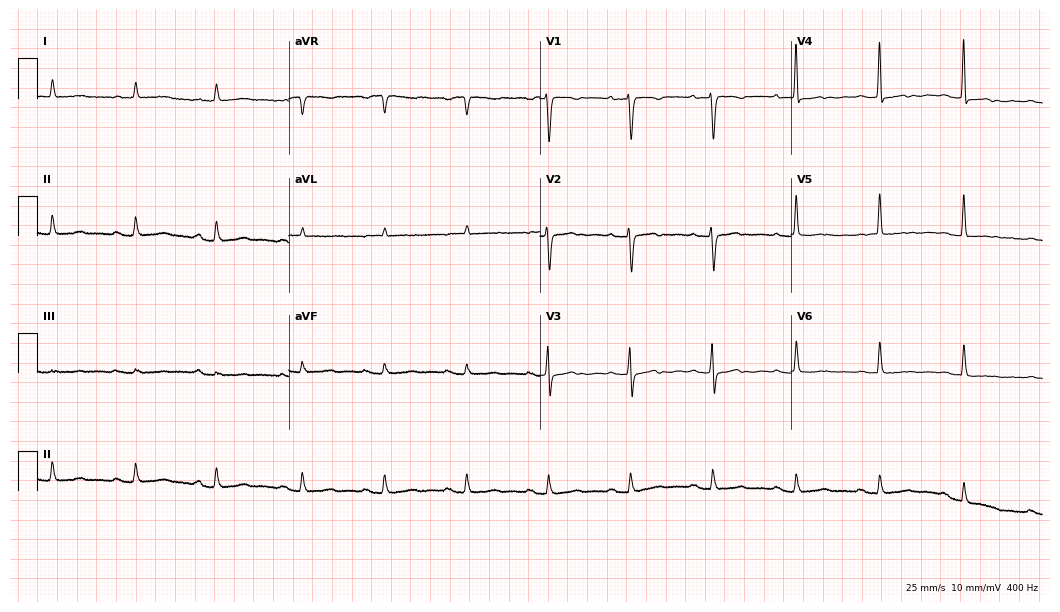
12-lead ECG from a female patient, 72 years old (10.2-second recording at 400 Hz). No first-degree AV block, right bundle branch block (RBBB), left bundle branch block (LBBB), sinus bradycardia, atrial fibrillation (AF) or sinus tachycardia recorded for this tracing. Only these six findings were labelled.